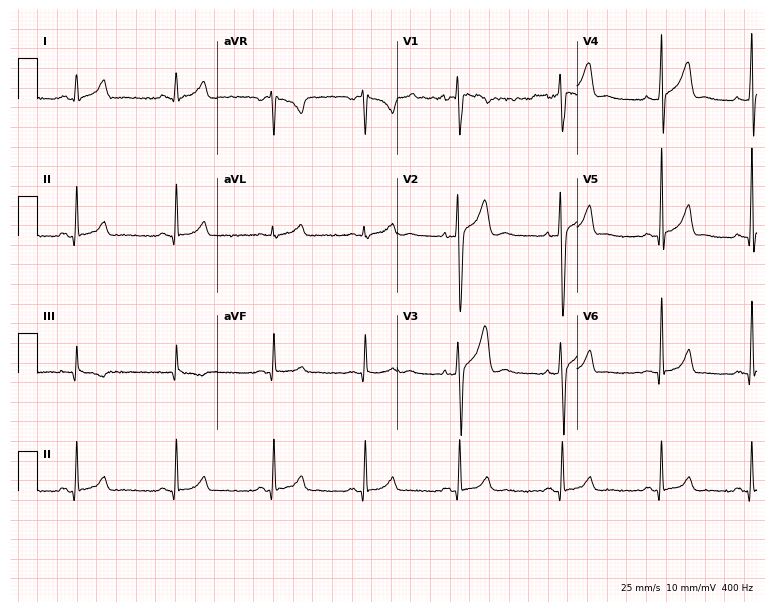
Resting 12-lead electrocardiogram (7.3-second recording at 400 Hz). Patient: a 25-year-old male. None of these six findings is recorded: first-degree AV block, right bundle branch block, left bundle branch block, sinus bradycardia, atrial fibrillation, sinus tachycardia. Other findings, if any, are not listed.